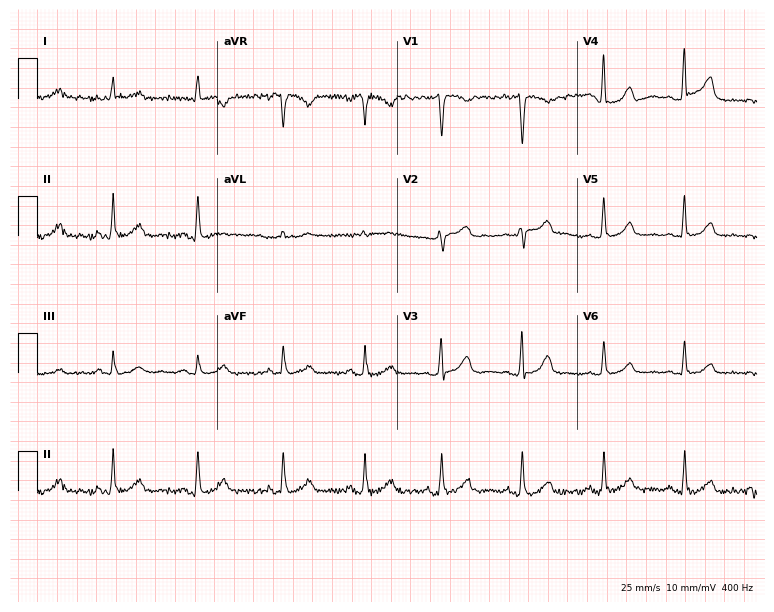
12-lead ECG from a female, 51 years old. Recorded interpretation: within normal limits.